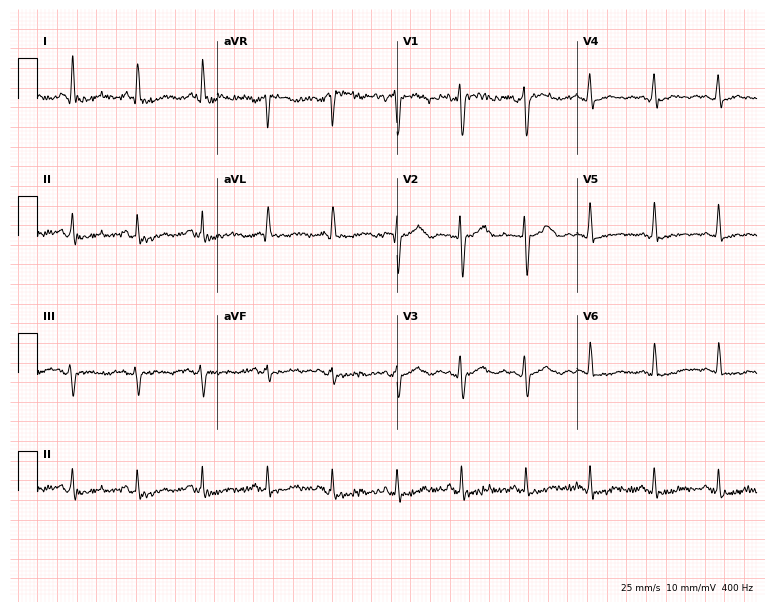
ECG (7.3-second recording at 400 Hz) — a female, 48 years old. Screened for six findings — first-degree AV block, right bundle branch block (RBBB), left bundle branch block (LBBB), sinus bradycardia, atrial fibrillation (AF), sinus tachycardia — none is recorded. Other findings, if any, are not listed.